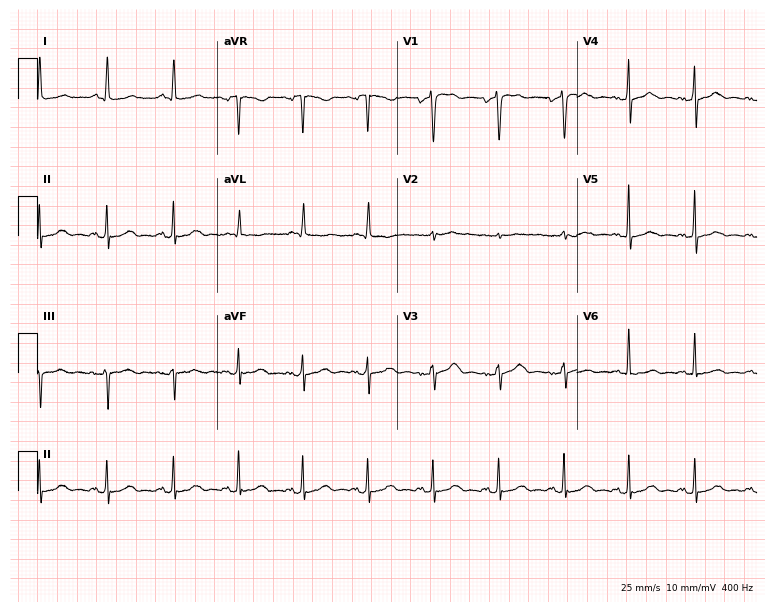
Electrocardiogram, a 76-year-old female. Of the six screened findings (first-degree AV block, right bundle branch block (RBBB), left bundle branch block (LBBB), sinus bradycardia, atrial fibrillation (AF), sinus tachycardia), none is recorded. Other findings, if any, are not listed.